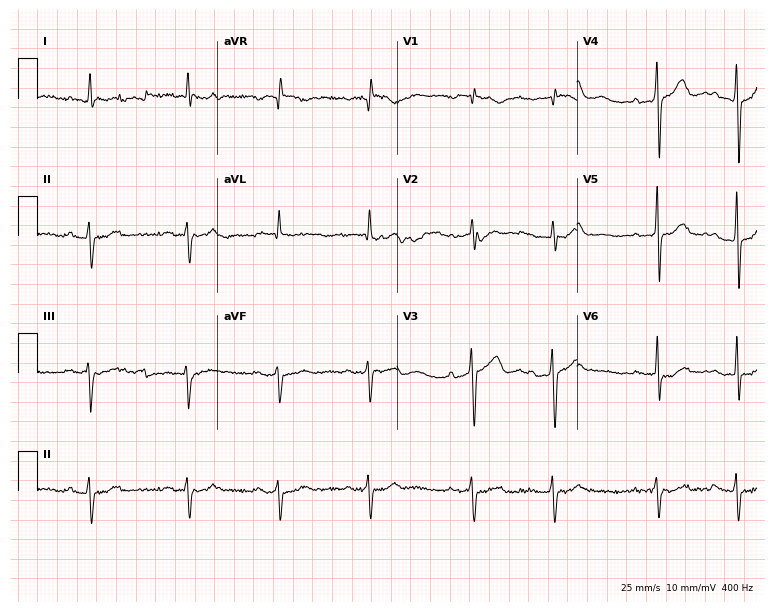
12-lead ECG from a male patient, 57 years old. No first-degree AV block, right bundle branch block (RBBB), left bundle branch block (LBBB), sinus bradycardia, atrial fibrillation (AF) or sinus tachycardia recorded for this tracing. Other findings, if any, are not listed.